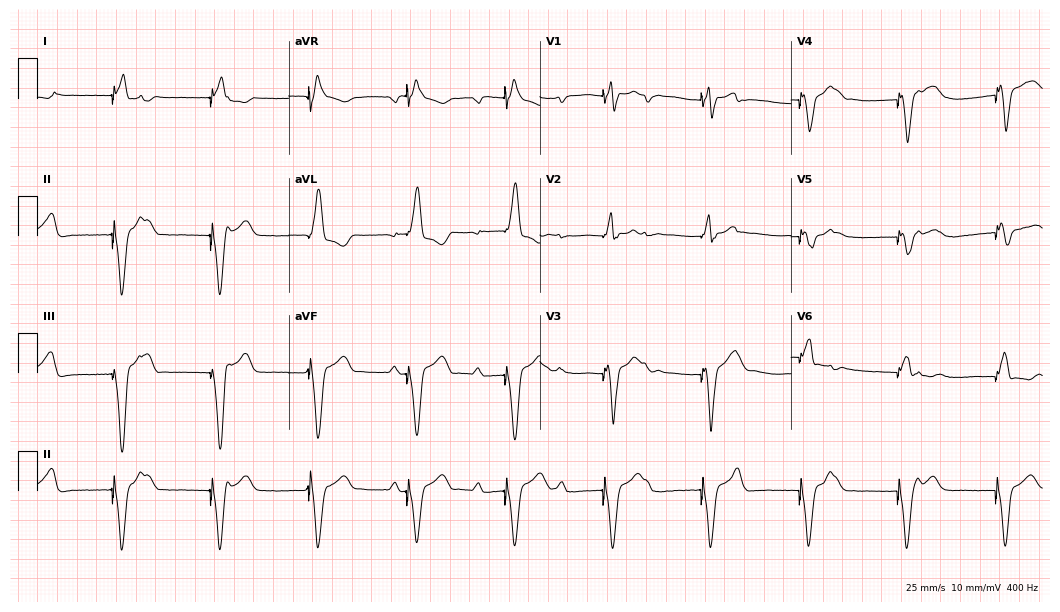
ECG — an 81-year-old male. Screened for six findings — first-degree AV block, right bundle branch block, left bundle branch block, sinus bradycardia, atrial fibrillation, sinus tachycardia — none is recorded.